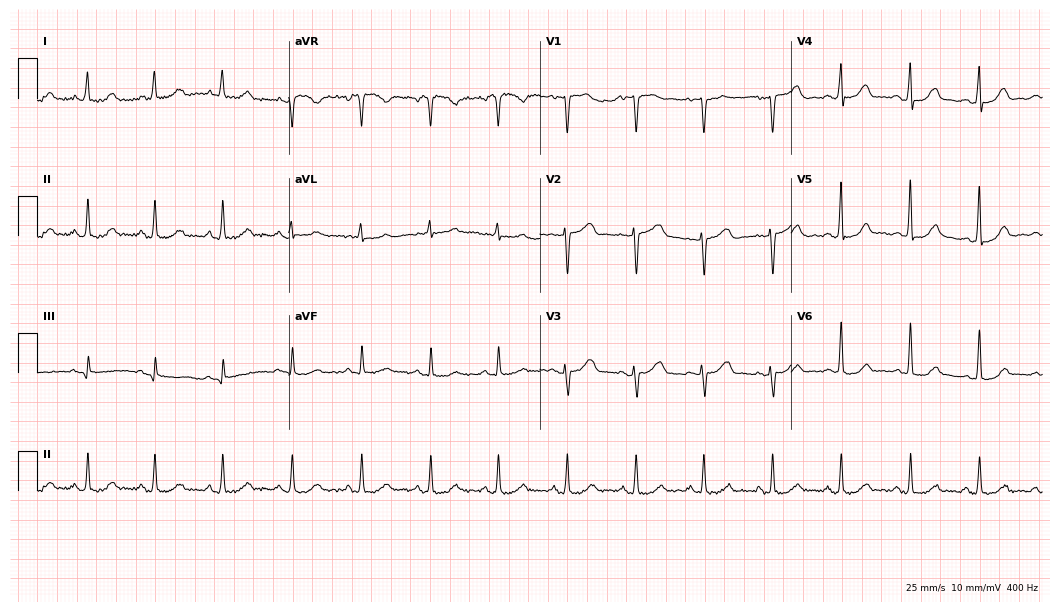
Electrocardiogram, a female patient, 54 years old. Overall reading on record: normal ECG.